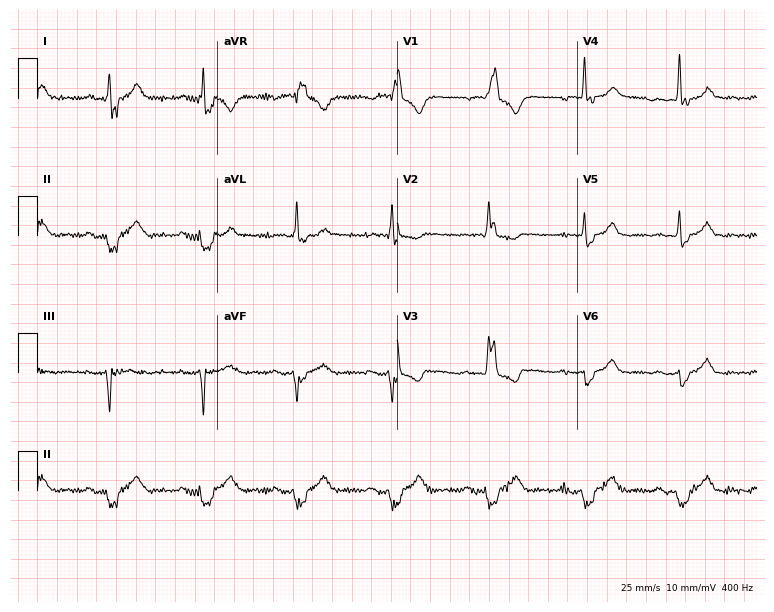
Resting 12-lead electrocardiogram. Patient: a woman, 69 years old. The tracing shows right bundle branch block.